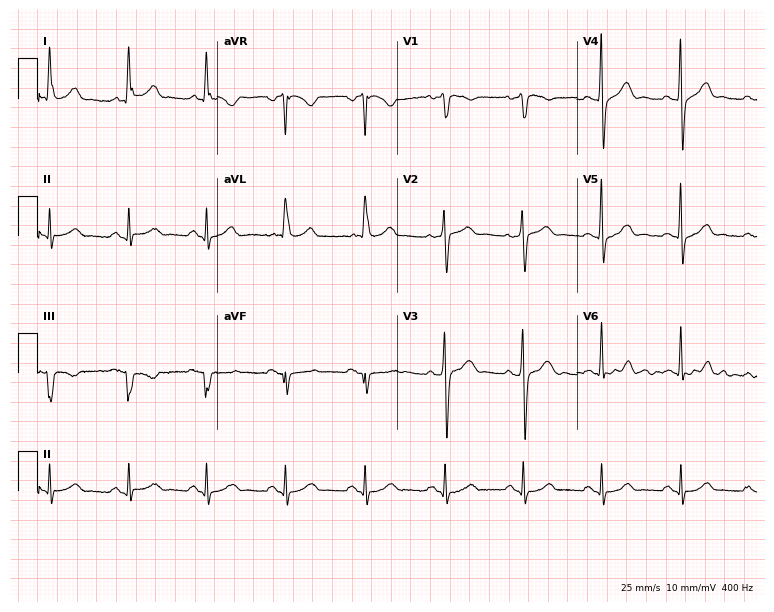
12-lead ECG from a 64-year-old male. Recorded interpretation: within normal limits.